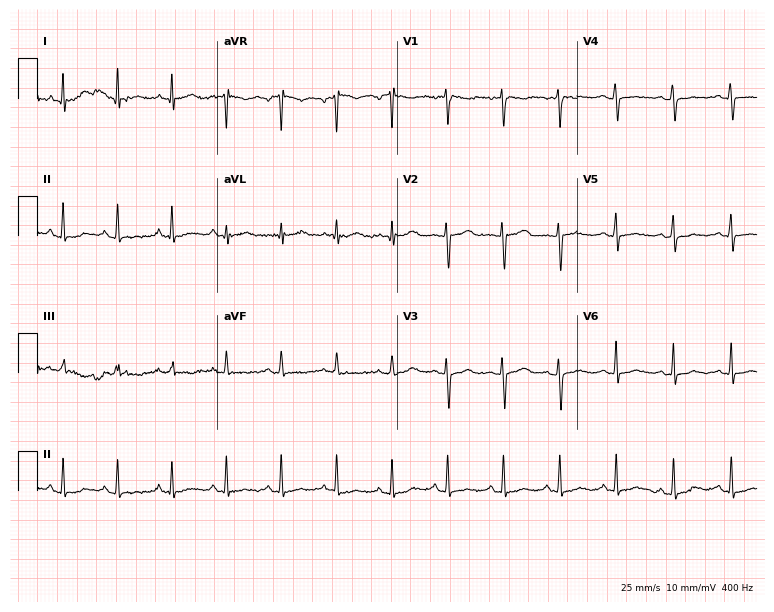
12-lead ECG (7.3-second recording at 400 Hz) from a female, 43 years old. Findings include sinus tachycardia (a sinus rate of 100 beats per minute or more).